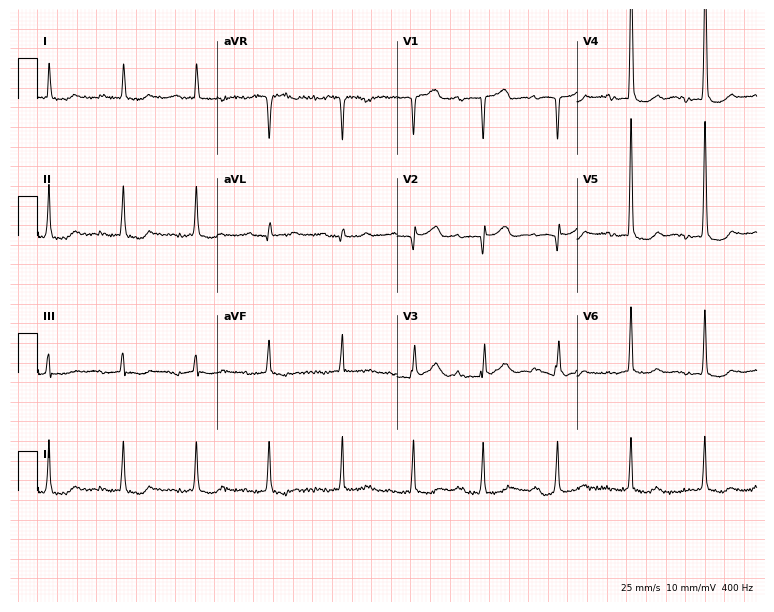
12-lead ECG from a 76-year-old female patient. Findings include first-degree AV block.